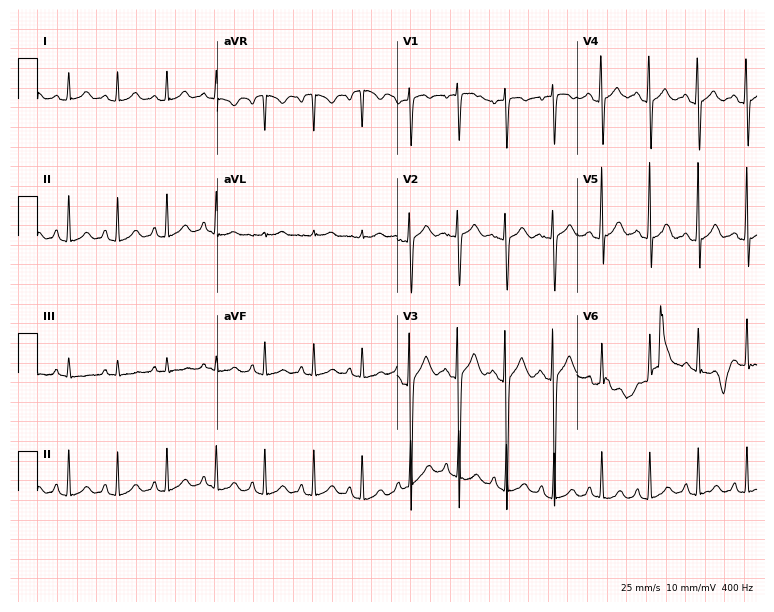
12-lead ECG (7.3-second recording at 400 Hz) from a 19-year-old female. Screened for six findings — first-degree AV block, right bundle branch block, left bundle branch block, sinus bradycardia, atrial fibrillation, sinus tachycardia — none is recorded.